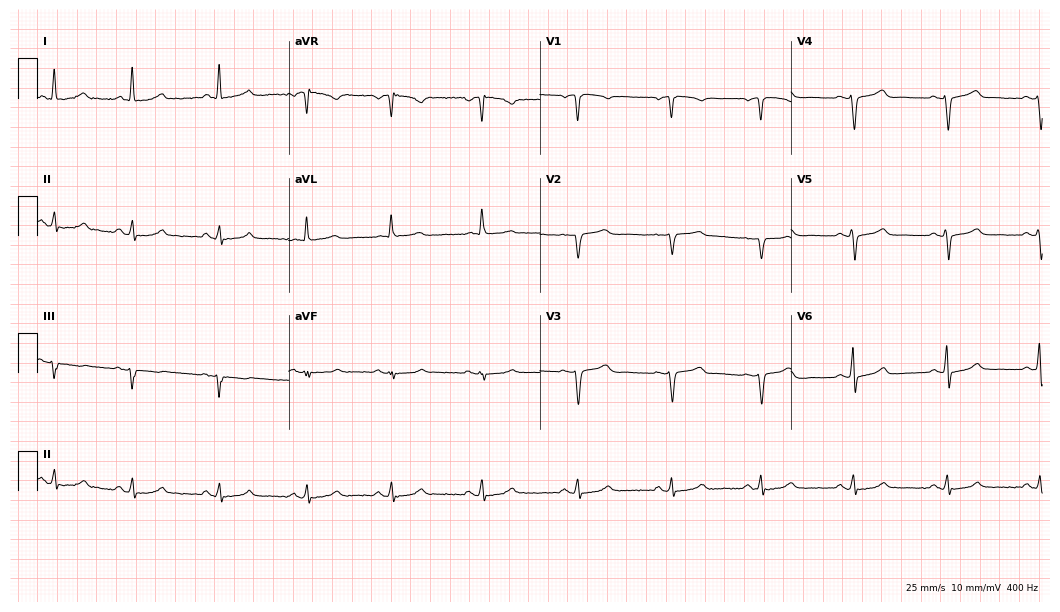
Resting 12-lead electrocardiogram. Patient: a female, 36 years old. None of these six findings is recorded: first-degree AV block, right bundle branch block, left bundle branch block, sinus bradycardia, atrial fibrillation, sinus tachycardia.